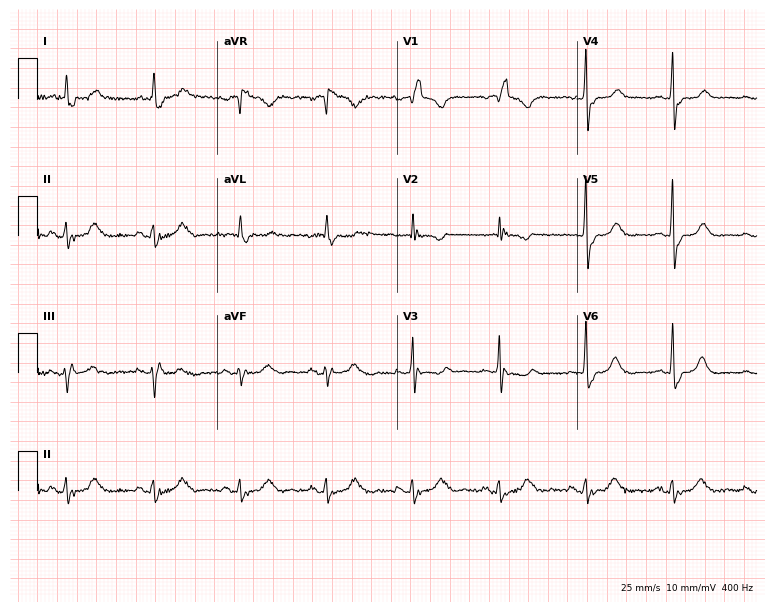
Electrocardiogram (7.3-second recording at 400 Hz), a female, 81 years old. Interpretation includes right bundle branch block.